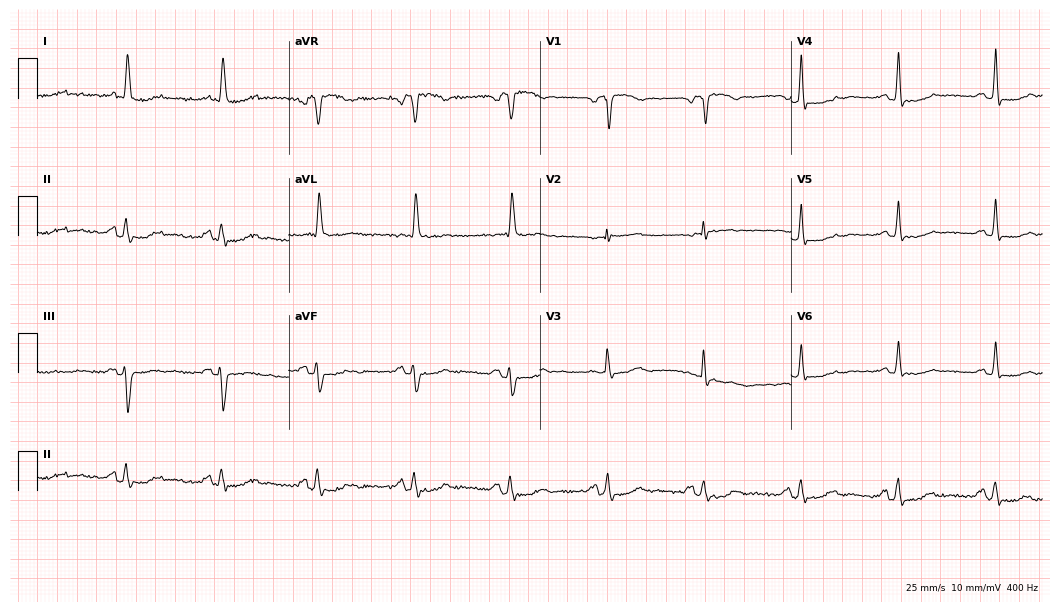
Electrocardiogram, a woman, 77 years old. Of the six screened findings (first-degree AV block, right bundle branch block (RBBB), left bundle branch block (LBBB), sinus bradycardia, atrial fibrillation (AF), sinus tachycardia), none is recorded.